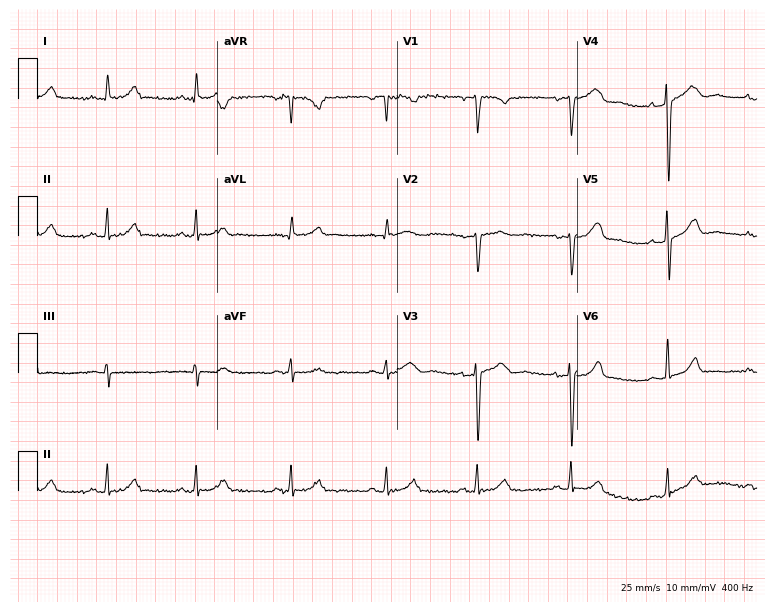
12-lead ECG from a 51-year-old female patient. Findings include first-degree AV block.